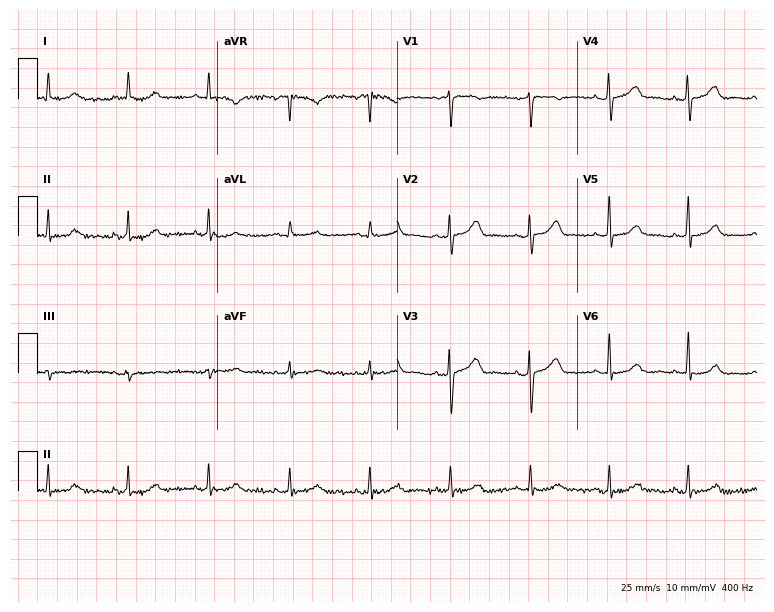
Resting 12-lead electrocardiogram. Patient: a woman, 66 years old. Read as a normal ECG.